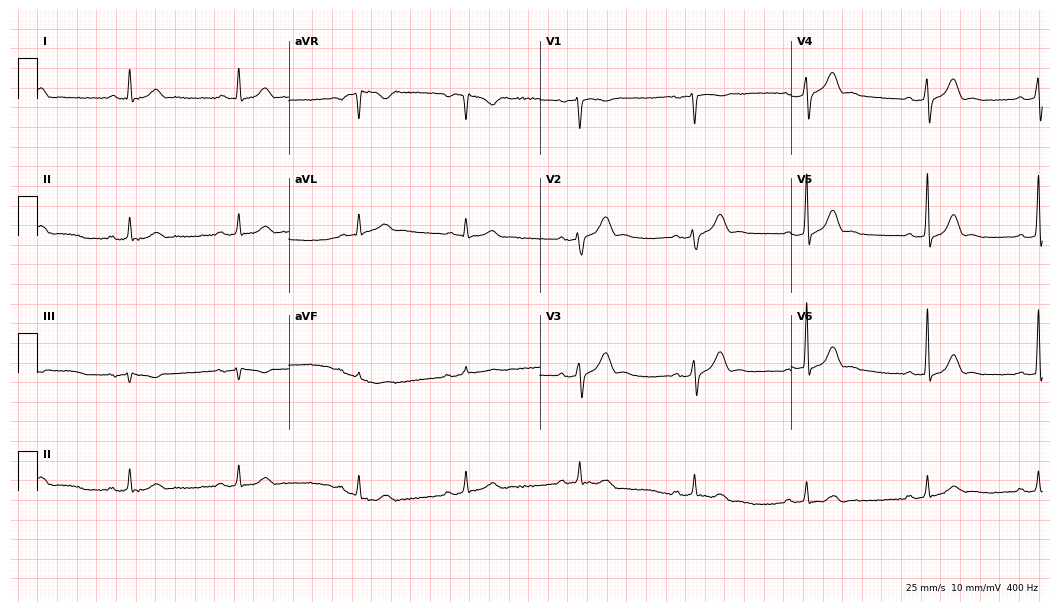
12-lead ECG from a male, 53 years old. Labelled as a normal ECG.